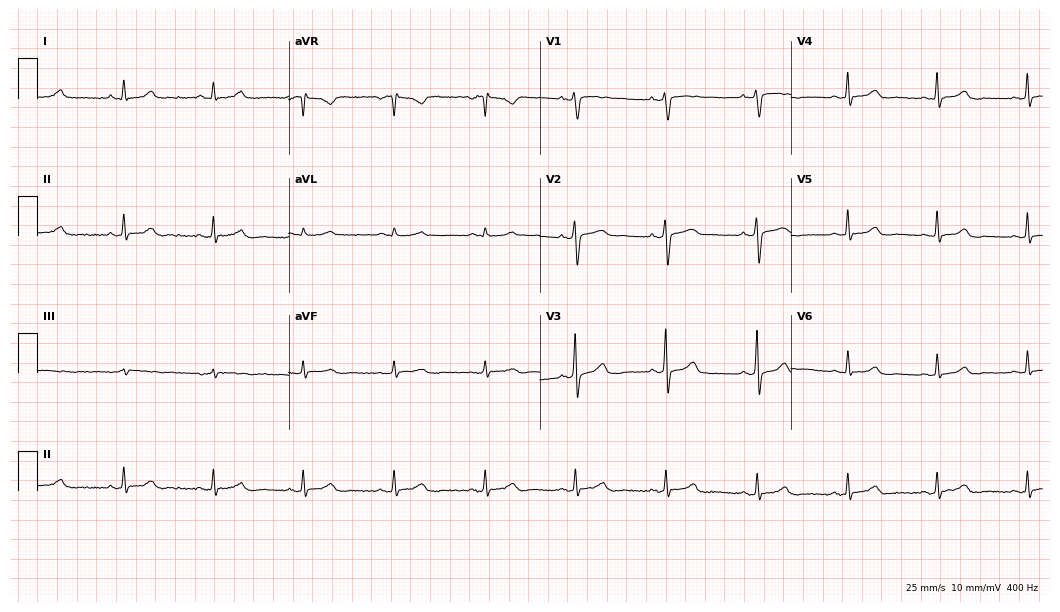
Standard 12-lead ECG recorded from a 62-year-old female (10.2-second recording at 400 Hz). None of these six findings is recorded: first-degree AV block, right bundle branch block (RBBB), left bundle branch block (LBBB), sinus bradycardia, atrial fibrillation (AF), sinus tachycardia. Only these six findings were labelled.